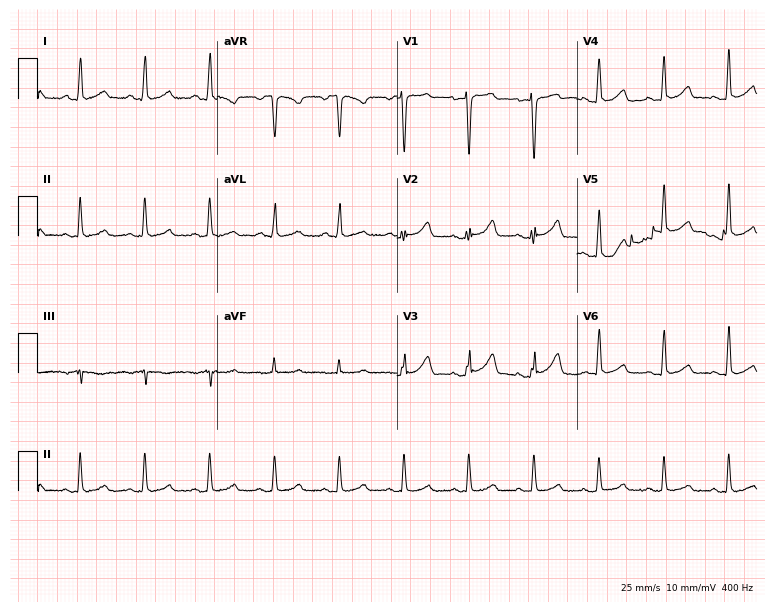
Resting 12-lead electrocardiogram. Patient: a female, 58 years old. Read as a normal ECG.